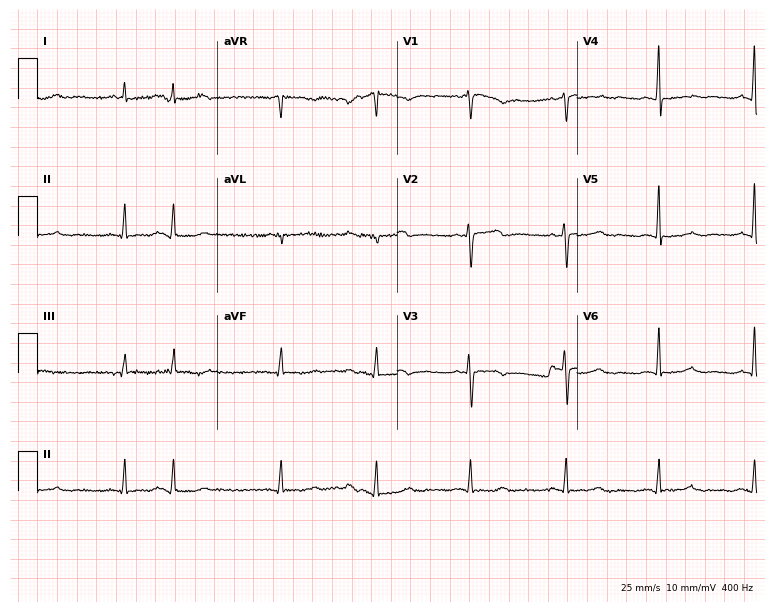
ECG — a woman, 64 years old. Screened for six findings — first-degree AV block, right bundle branch block (RBBB), left bundle branch block (LBBB), sinus bradycardia, atrial fibrillation (AF), sinus tachycardia — none is recorded. Findings outside these six are not listed.